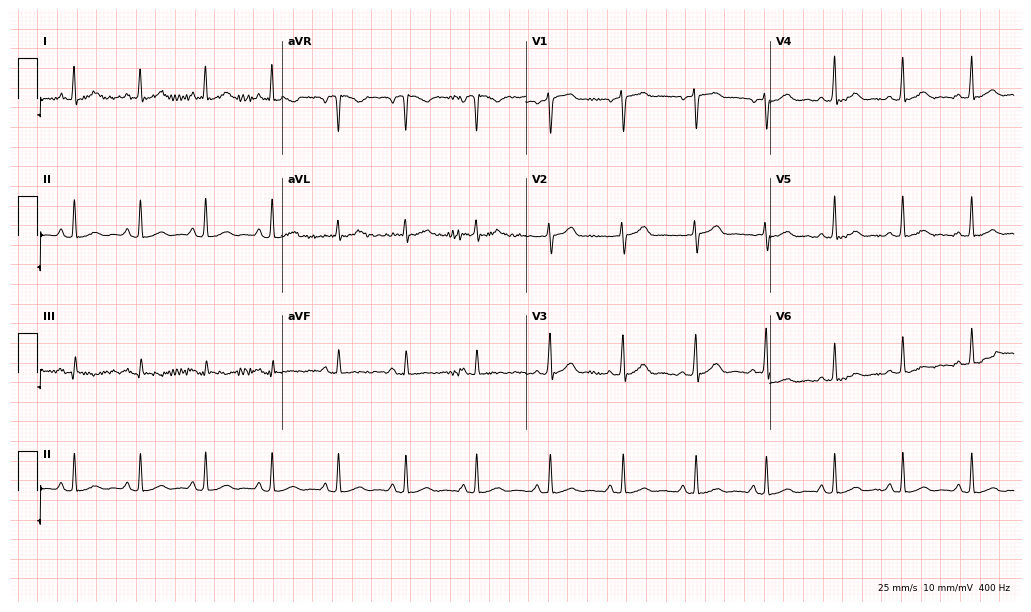
Standard 12-lead ECG recorded from a 32-year-old woman (10-second recording at 400 Hz). Read as a normal ECG.